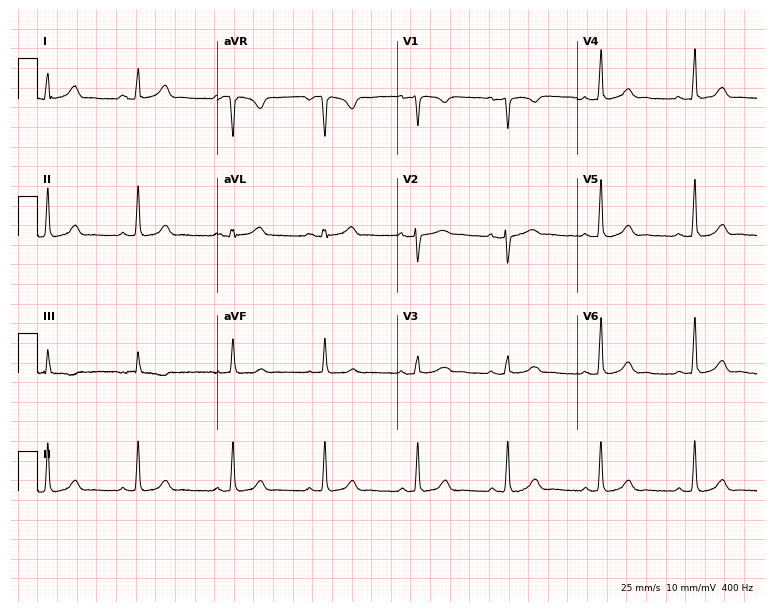
Electrocardiogram (7.3-second recording at 400 Hz), a 34-year-old female patient. Of the six screened findings (first-degree AV block, right bundle branch block, left bundle branch block, sinus bradycardia, atrial fibrillation, sinus tachycardia), none is recorded. Other findings, if any, are not listed.